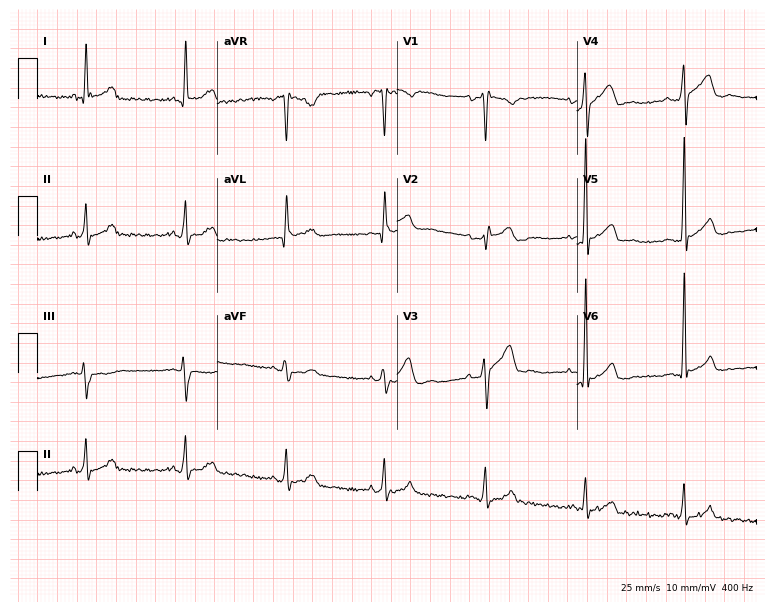
ECG — a male, 44 years old. Screened for six findings — first-degree AV block, right bundle branch block (RBBB), left bundle branch block (LBBB), sinus bradycardia, atrial fibrillation (AF), sinus tachycardia — none is recorded.